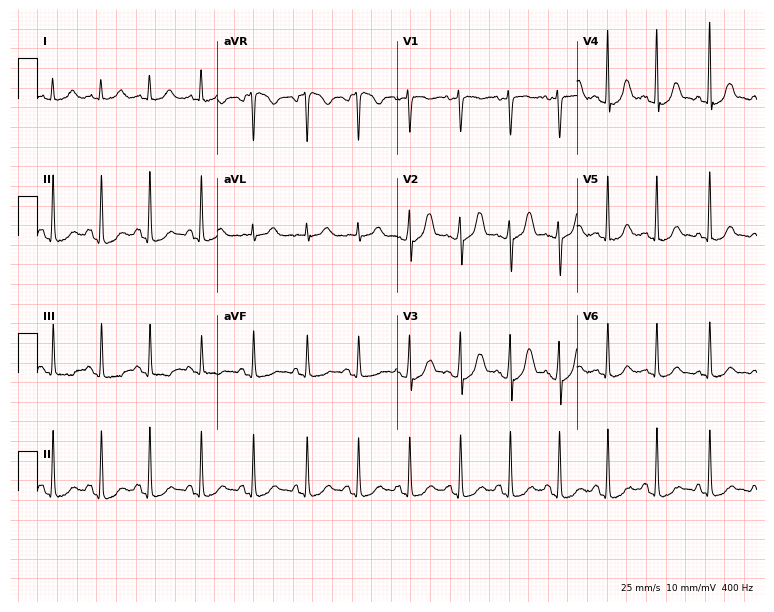
ECG (7.3-second recording at 400 Hz) — a female patient, 48 years old. Screened for six findings — first-degree AV block, right bundle branch block, left bundle branch block, sinus bradycardia, atrial fibrillation, sinus tachycardia — none is recorded.